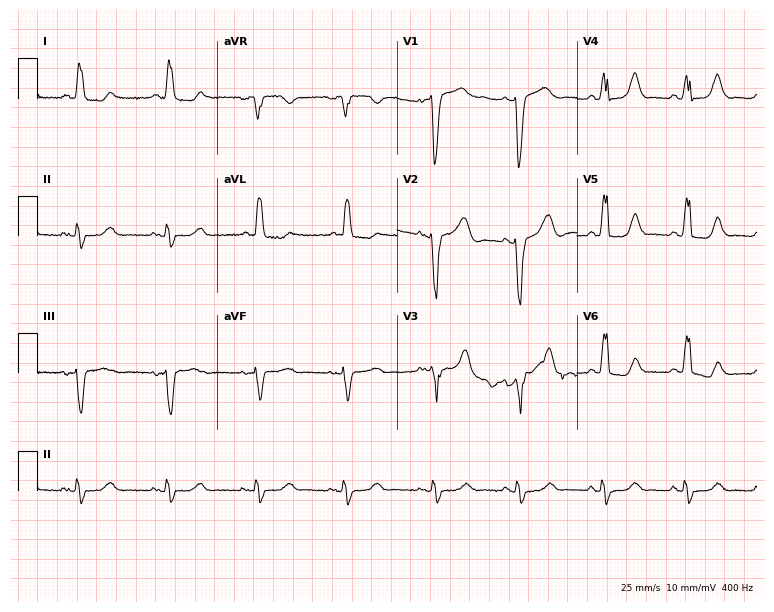
Resting 12-lead electrocardiogram. Patient: a 75-year-old female. The tracing shows left bundle branch block.